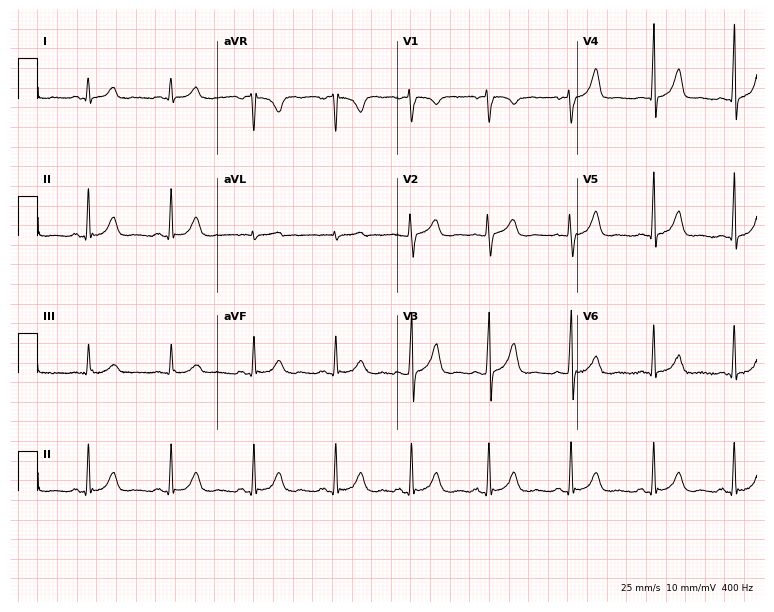
12-lead ECG from a 17-year-old female patient. Recorded interpretation: within normal limits.